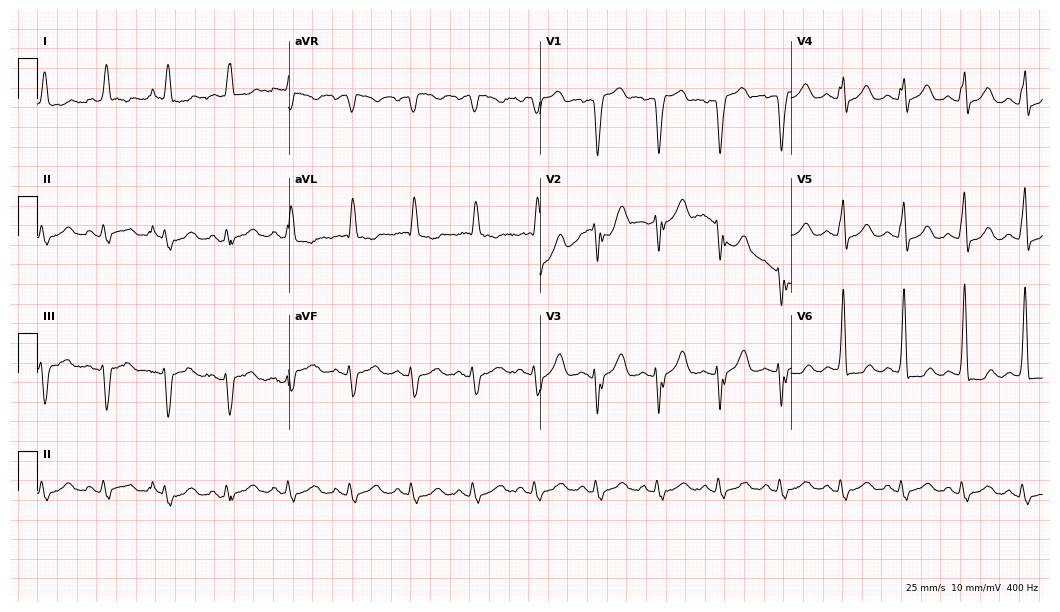
Resting 12-lead electrocardiogram. Patient: a 79-year-old male. None of these six findings is recorded: first-degree AV block, right bundle branch block, left bundle branch block, sinus bradycardia, atrial fibrillation, sinus tachycardia. Other findings, if any, are not listed.